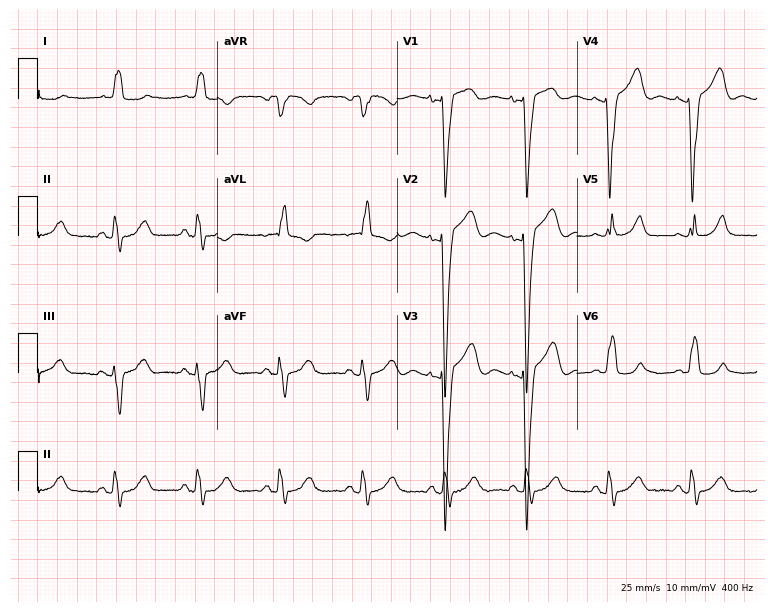
Resting 12-lead electrocardiogram. Patient: a female, 79 years old. None of these six findings is recorded: first-degree AV block, right bundle branch block, left bundle branch block, sinus bradycardia, atrial fibrillation, sinus tachycardia.